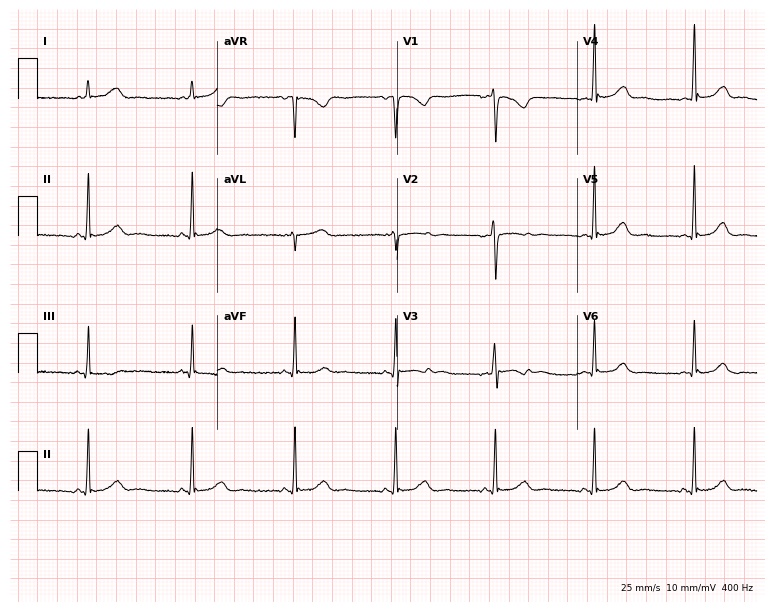
Standard 12-lead ECG recorded from a 20-year-old female (7.3-second recording at 400 Hz). Read as a normal ECG.